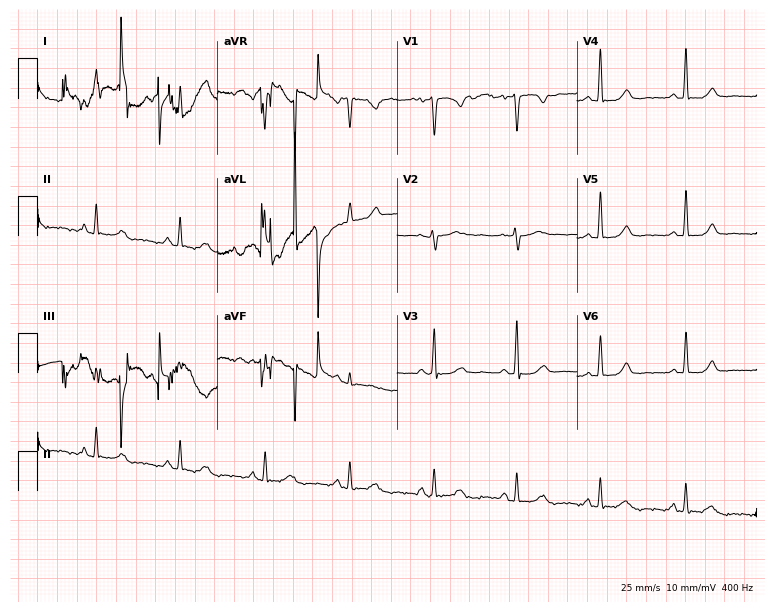
12-lead ECG from a 68-year-old woman (7.3-second recording at 400 Hz). No first-degree AV block, right bundle branch block (RBBB), left bundle branch block (LBBB), sinus bradycardia, atrial fibrillation (AF) or sinus tachycardia recorded for this tracing. Only these six findings were labelled.